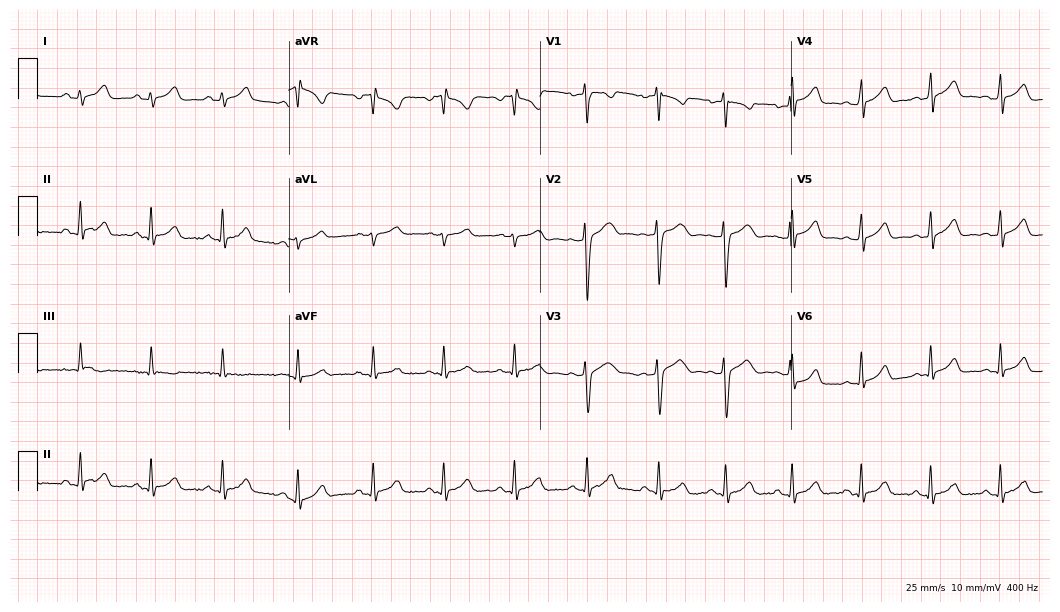
12-lead ECG from a 19-year-old female. Labelled as a normal ECG.